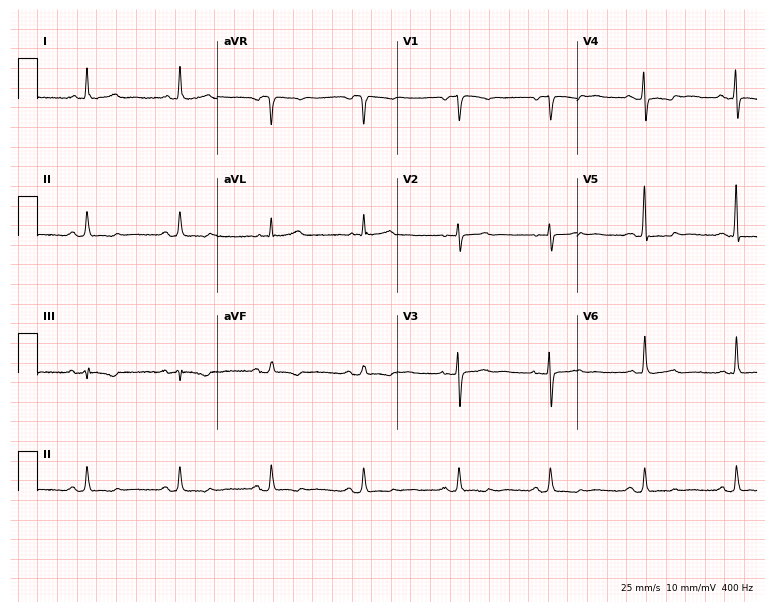
ECG — a female, 72 years old. Screened for six findings — first-degree AV block, right bundle branch block, left bundle branch block, sinus bradycardia, atrial fibrillation, sinus tachycardia — none is recorded. Findings outside these six are not listed.